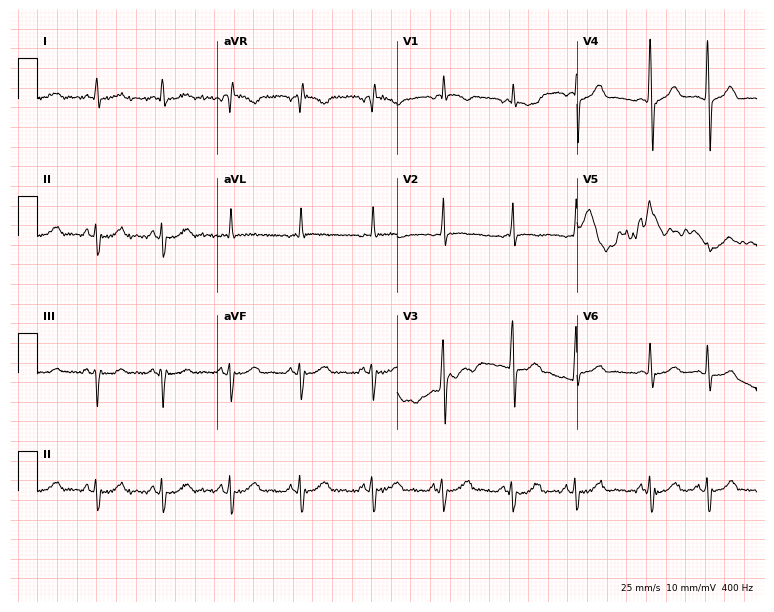
ECG — a man, 70 years old. Screened for six findings — first-degree AV block, right bundle branch block, left bundle branch block, sinus bradycardia, atrial fibrillation, sinus tachycardia — none is recorded. Findings outside these six are not listed.